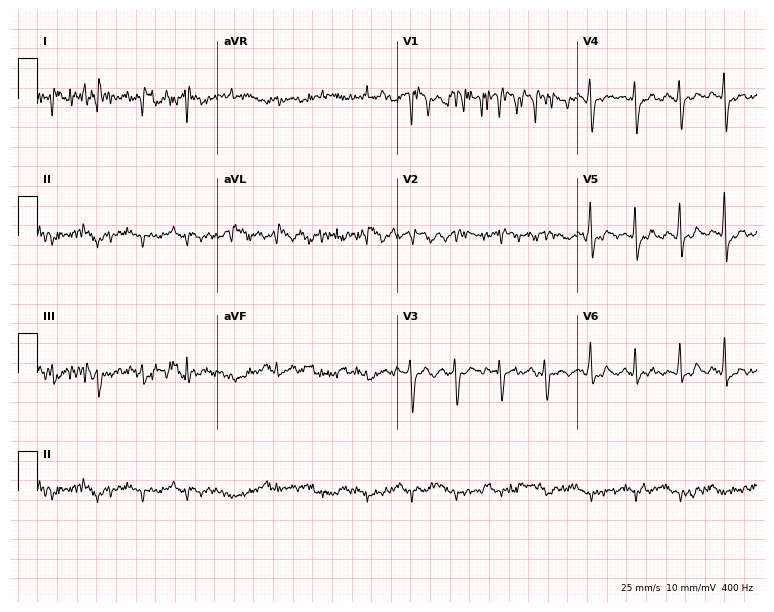
Electrocardiogram, a 68-year-old female patient. Of the six screened findings (first-degree AV block, right bundle branch block (RBBB), left bundle branch block (LBBB), sinus bradycardia, atrial fibrillation (AF), sinus tachycardia), none is recorded. Findings outside these six are not listed.